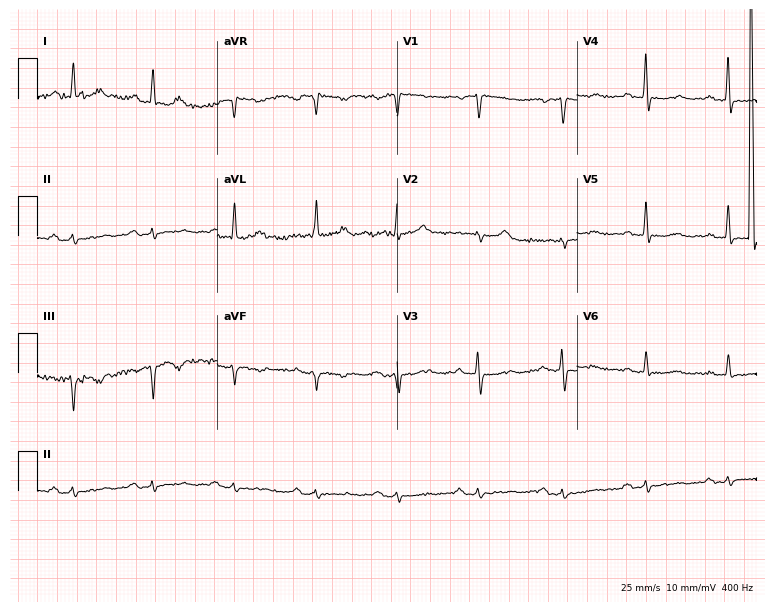
ECG (7.3-second recording at 400 Hz) — a 69-year-old female. Screened for six findings — first-degree AV block, right bundle branch block (RBBB), left bundle branch block (LBBB), sinus bradycardia, atrial fibrillation (AF), sinus tachycardia — none is recorded.